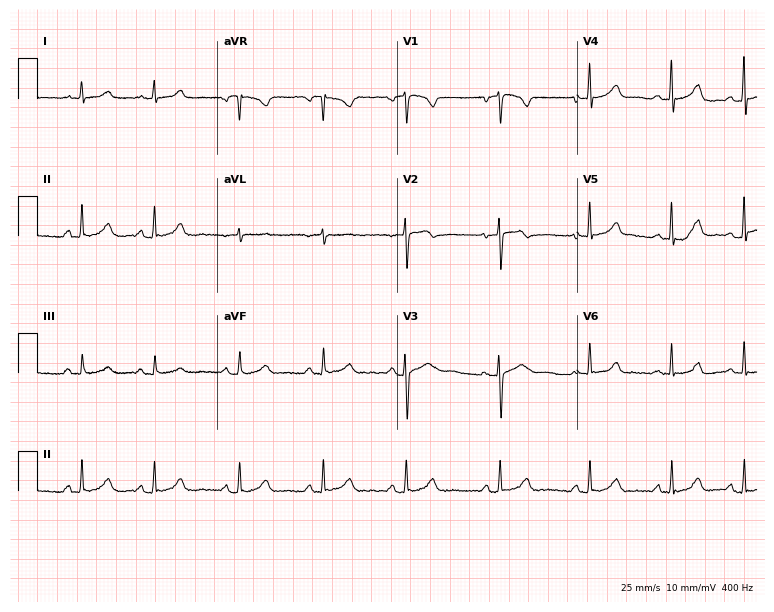
12-lead ECG from a 34-year-old woman. Recorded interpretation: within normal limits.